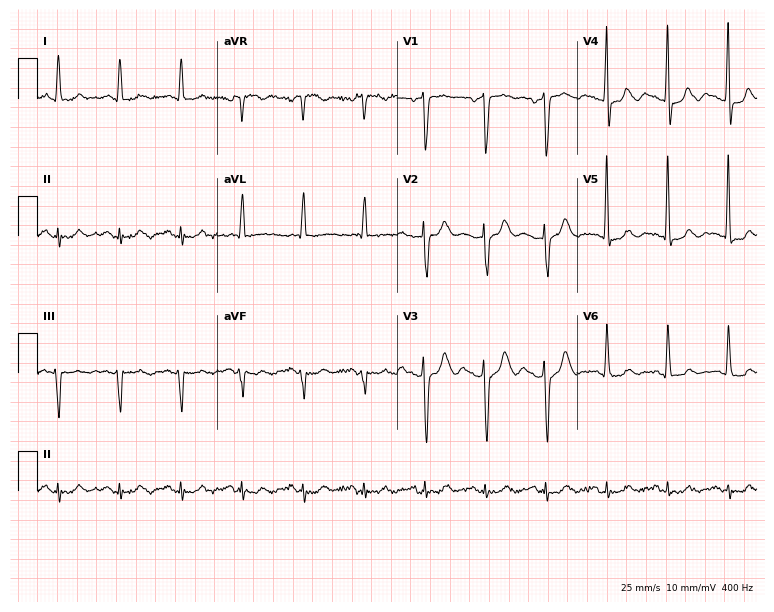
Resting 12-lead electrocardiogram (7.3-second recording at 400 Hz). Patient: a 74-year-old male. None of these six findings is recorded: first-degree AV block, right bundle branch block (RBBB), left bundle branch block (LBBB), sinus bradycardia, atrial fibrillation (AF), sinus tachycardia. Other findings, if any, are not listed.